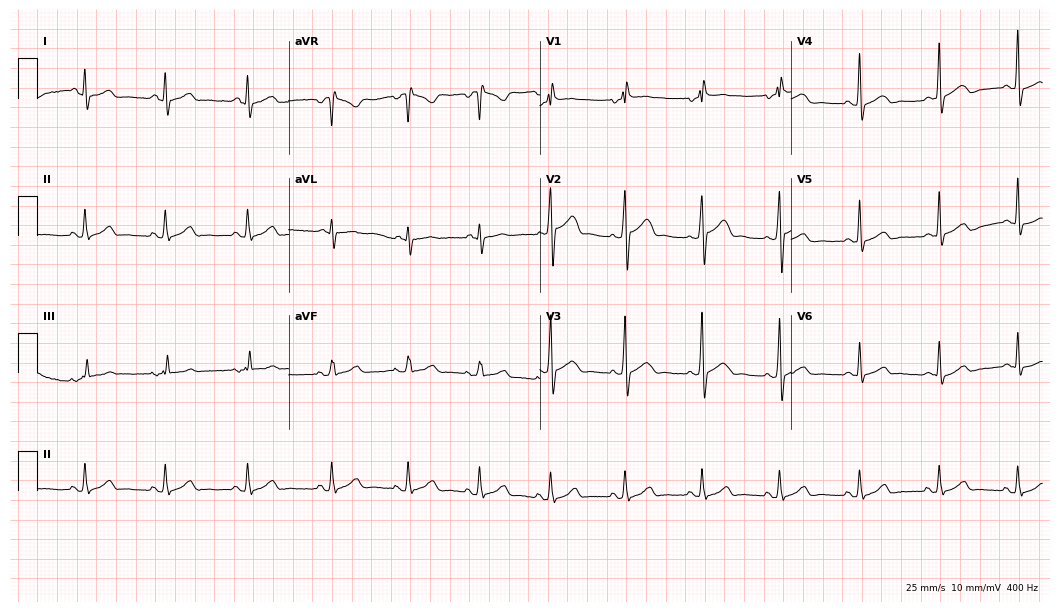
Standard 12-lead ECG recorded from a 54-year-old man (10.2-second recording at 400 Hz). Read as a normal ECG.